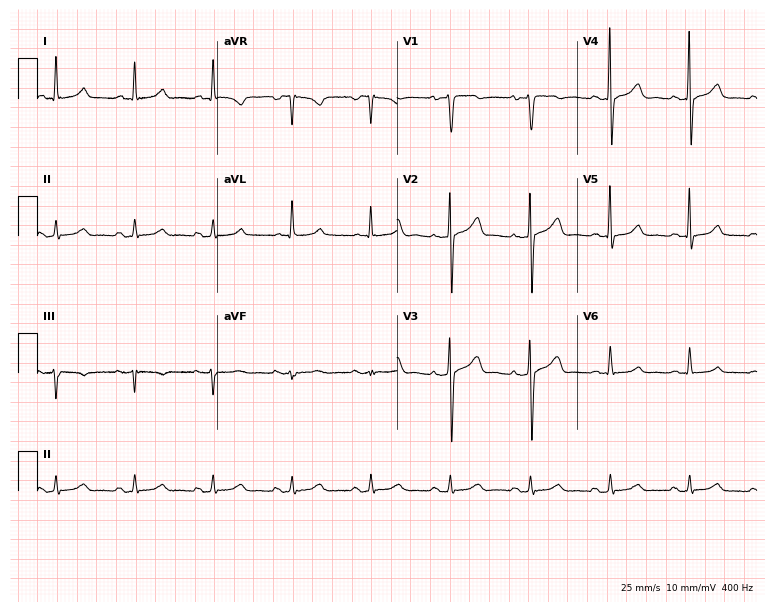
12-lead ECG from a female, 52 years old. Screened for six findings — first-degree AV block, right bundle branch block (RBBB), left bundle branch block (LBBB), sinus bradycardia, atrial fibrillation (AF), sinus tachycardia — none is recorded.